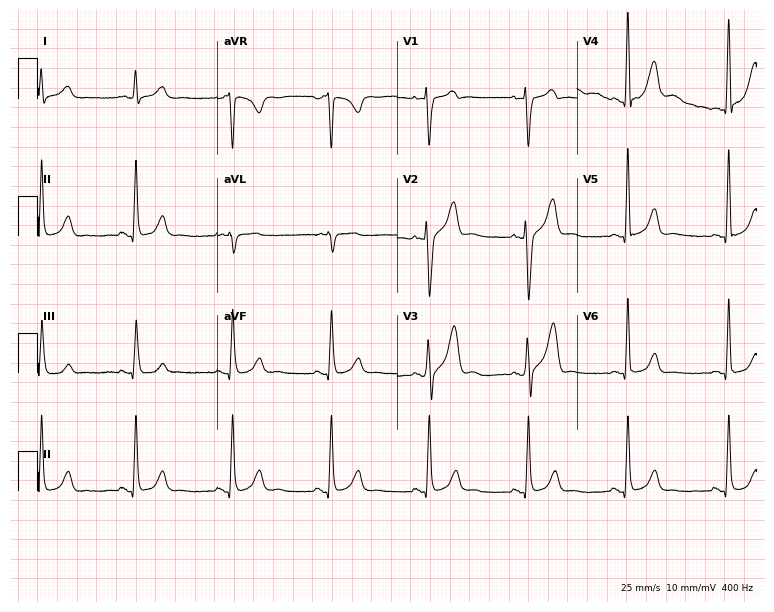
Resting 12-lead electrocardiogram (7.3-second recording at 400 Hz). Patient: a 44-year-old male. Read as a normal ECG.